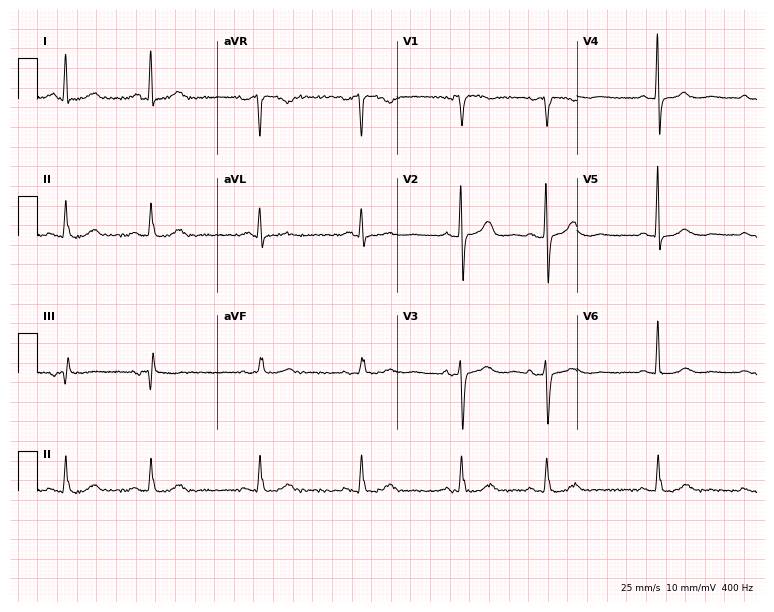
Standard 12-lead ECG recorded from a female, 70 years old (7.3-second recording at 400 Hz). None of these six findings is recorded: first-degree AV block, right bundle branch block, left bundle branch block, sinus bradycardia, atrial fibrillation, sinus tachycardia.